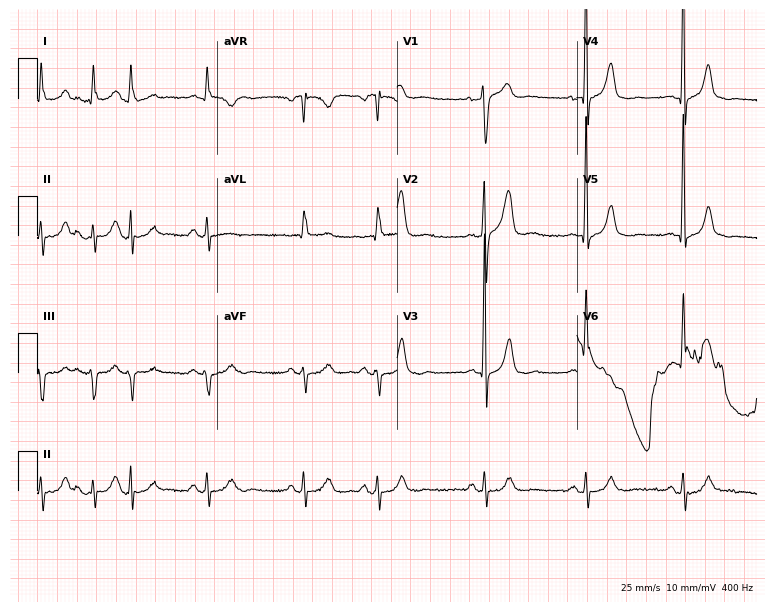
Electrocardiogram, a 79-year-old male patient. Of the six screened findings (first-degree AV block, right bundle branch block, left bundle branch block, sinus bradycardia, atrial fibrillation, sinus tachycardia), none is recorded.